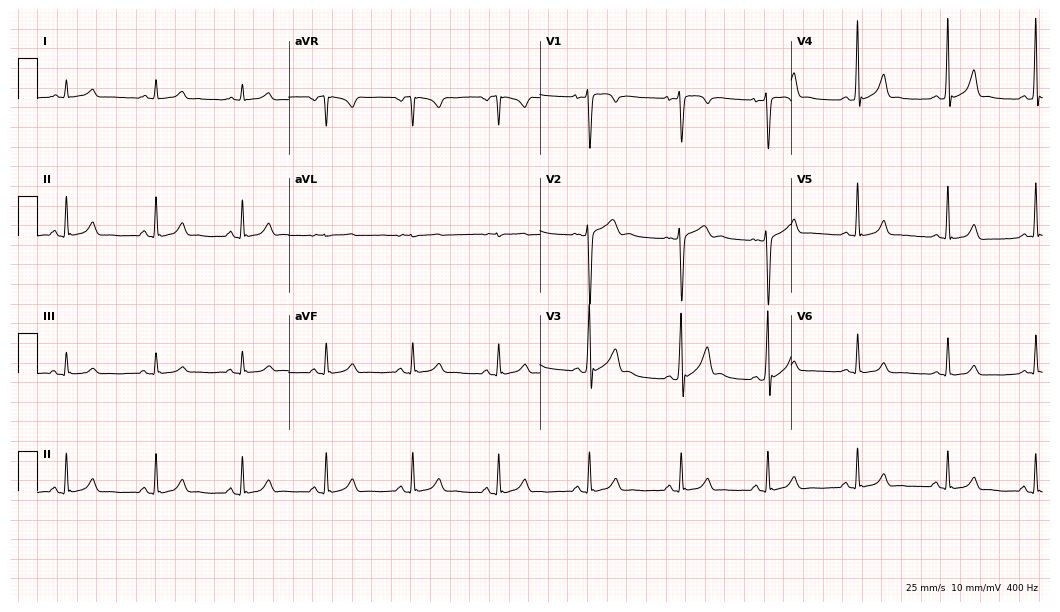
Resting 12-lead electrocardiogram (10.2-second recording at 400 Hz). Patient: a 20-year-old male. None of these six findings is recorded: first-degree AV block, right bundle branch block (RBBB), left bundle branch block (LBBB), sinus bradycardia, atrial fibrillation (AF), sinus tachycardia.